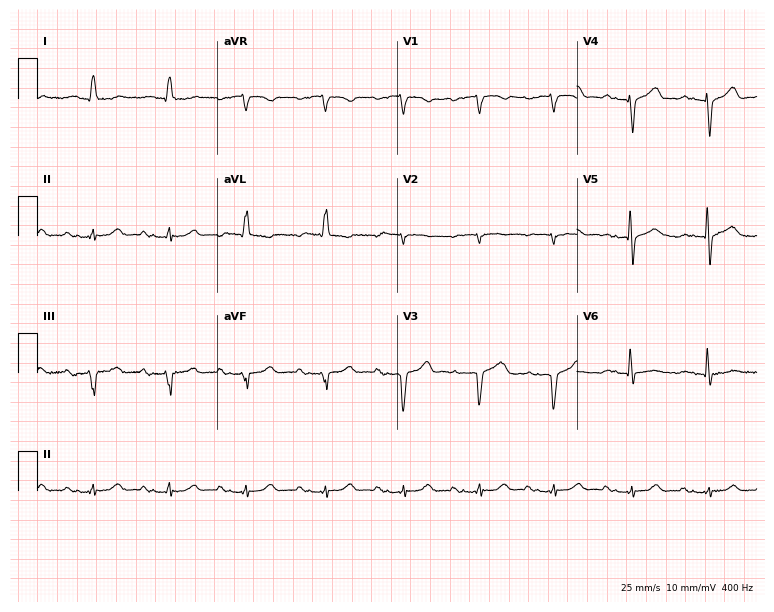
Standard 12-lead ECG recorded from a male, 74 years old. The tracing shows first-degree AV block.